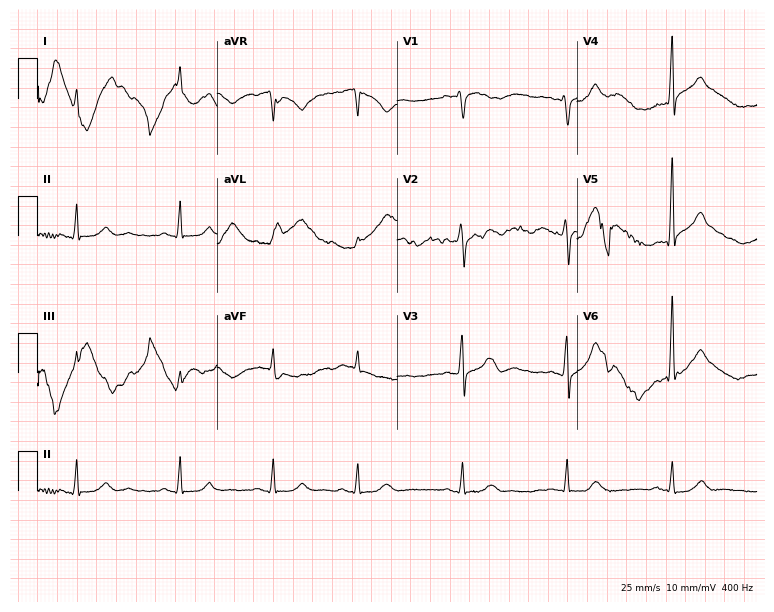
12-lead ECG (7.3-second recording at 400 Hz) from a 78-year-old male. Screened for six findings — first-degree AV block, right bundle branch block, left bundle branch block, sinus bradycardia, atrial fibrillation, sinus tachycardia — none is recorded. Only these six findings were labelled.